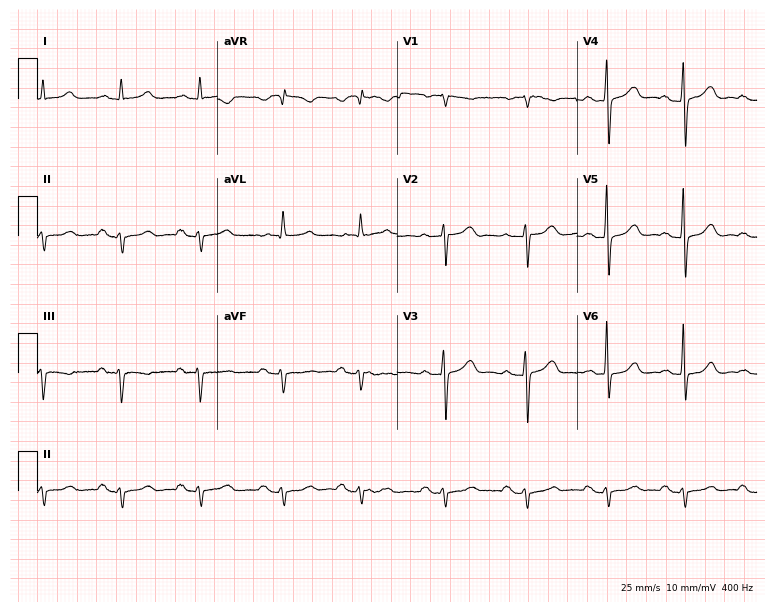
12-lead ECG from a man, 82 years old (7.3-second recording at 400 Hz). No first-degree AV block, right bundle branch block (RBBB), left bundle branch block (LBBB), sinus bradycardia, atrial fibrillation (AF) or sinus tachycardia recorded for this tracing. Only these six findings were labelled.